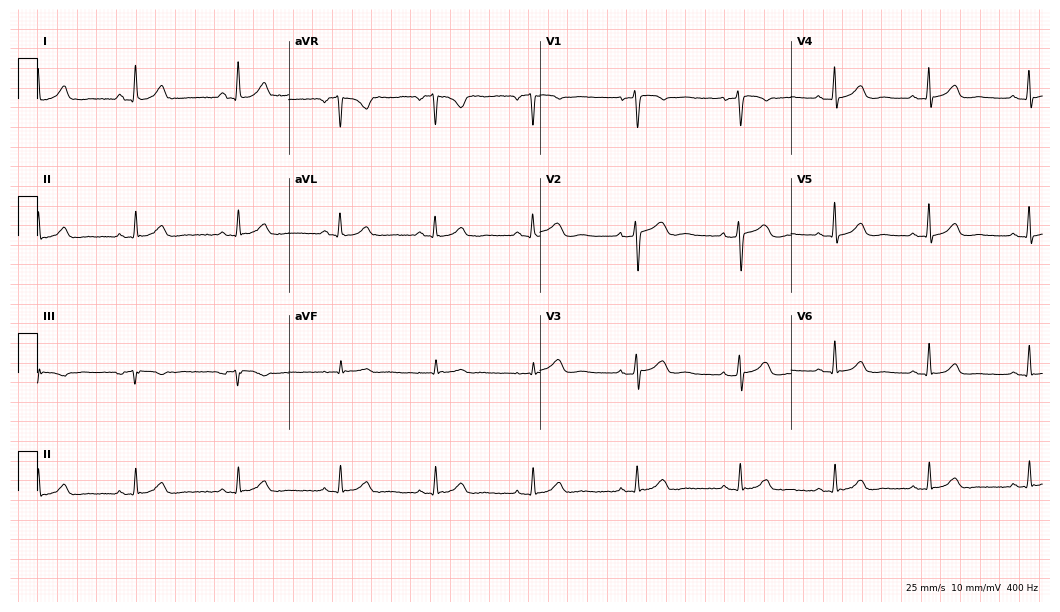
Resting 12-lead electrocardiogram (10.2-second recording at 400 Hz). Patient: a female, 40 years old. Read as a normal ECG.